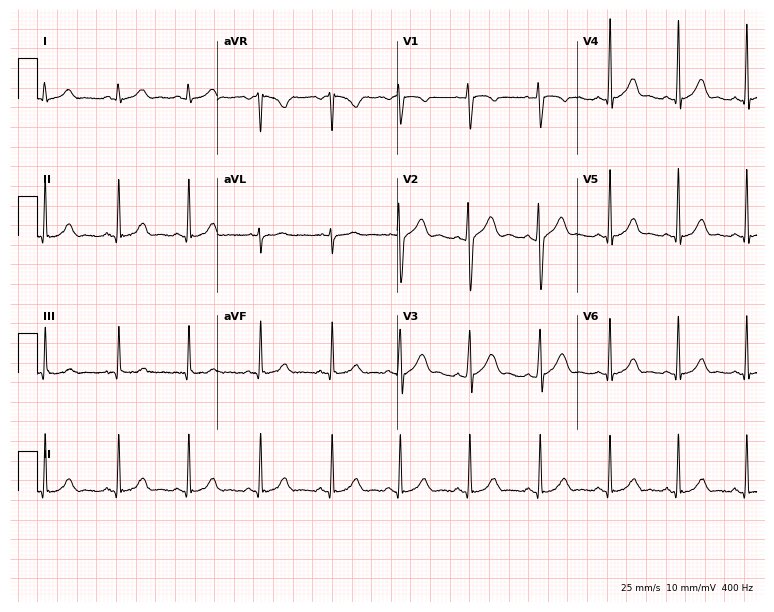
12-lead ECG from a woman, 20 years old. Labelled as a normal ECG.